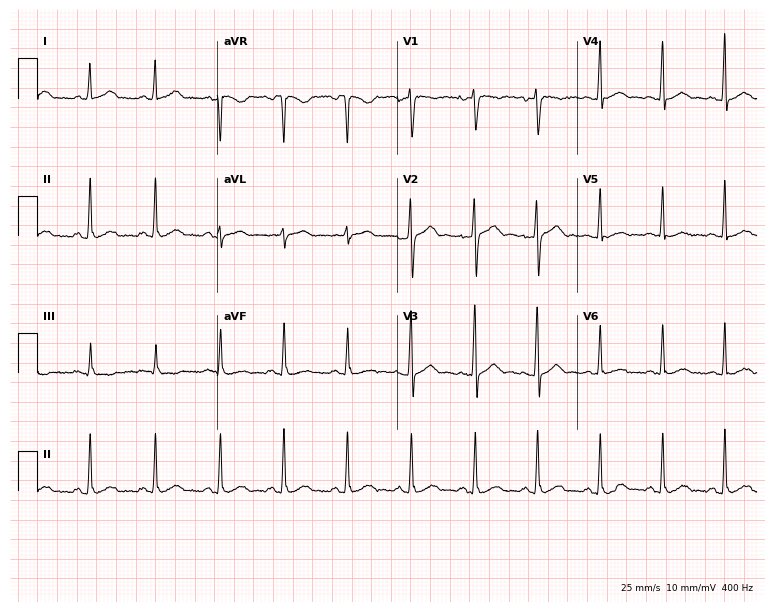
12-lead ECG (7.3-second recording at 400 Hz) from a female patient, 38 years old. Labelled as a normal ECG.